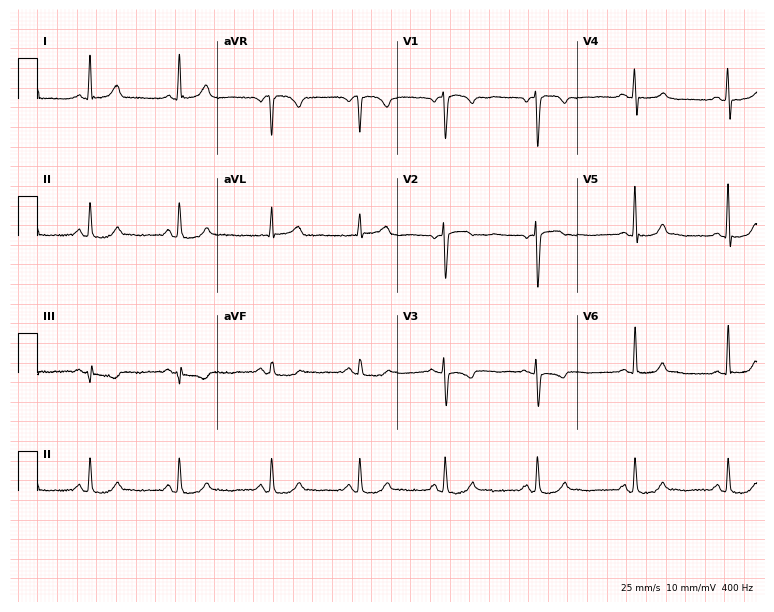
12-lead ECG from a 38-year-old female patient (7.3-second recording at 400 Hz). Recorded interpretation: within normal limits.